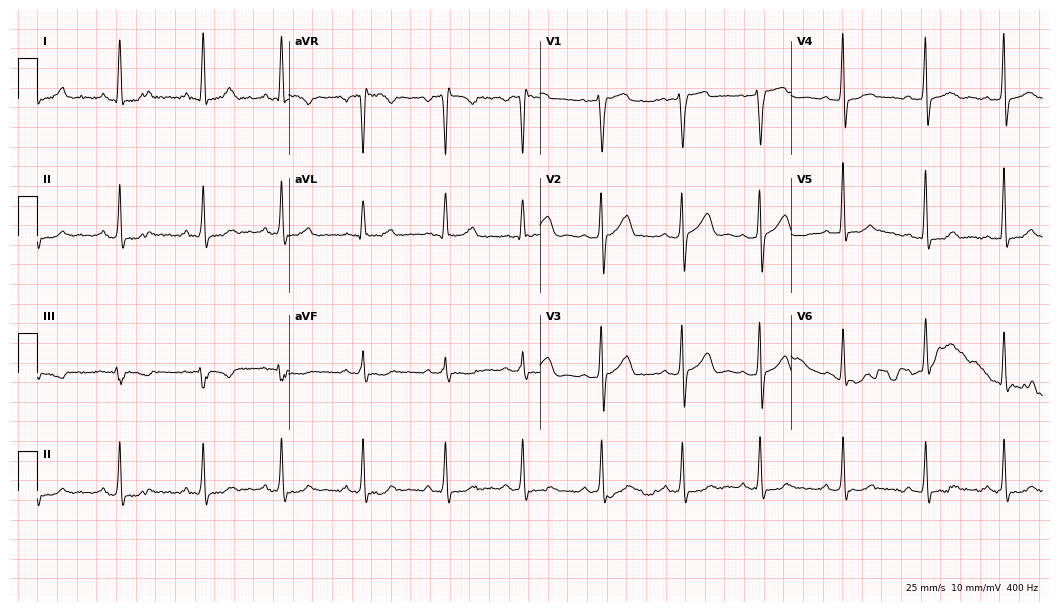
Electrocardiogram (10.2-second recording at 400 Hz), a 42-year-old male. Overall reading on record: normal ECG.